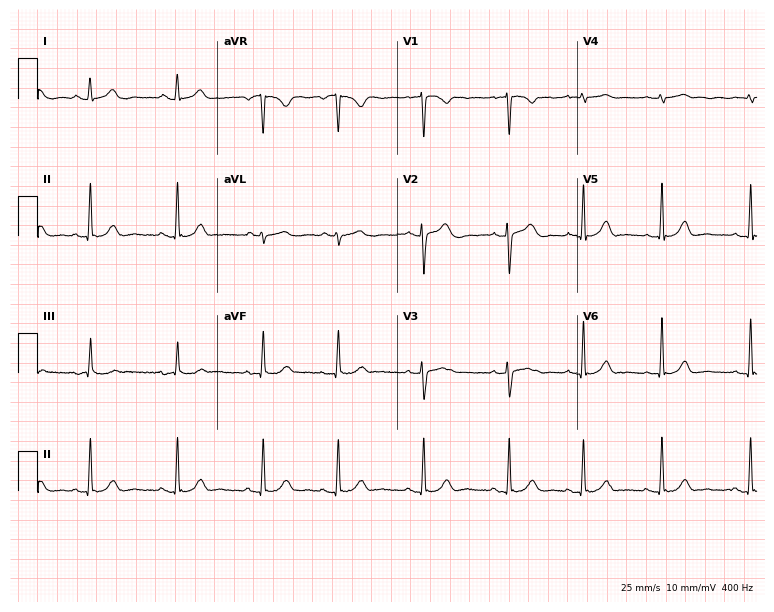
12-lead ECG from a 19-year-old female. Recorded interpretation: within normal limits.